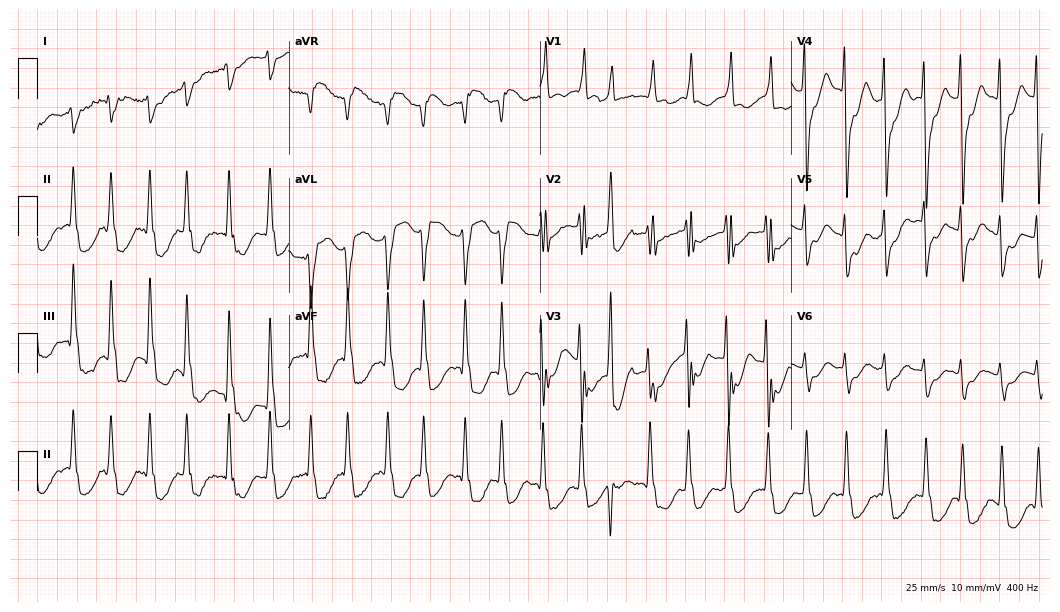
Resting 12-lead electrocardiogram. Patient: a female, 75 years old. None of these six findings is recorded: first-degree AV block, right bundle branch block, left bundle branch block, sinus bradycardia, atrial fibrillation, sinus tachycardia.